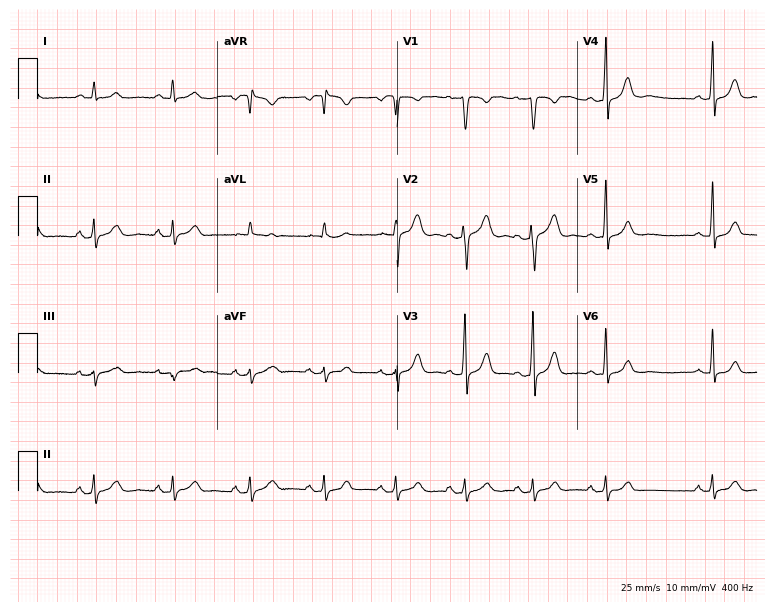
Resting 12-lead electrocardiogram. Patient: a female, 20 years old. Read as a normal ECG.